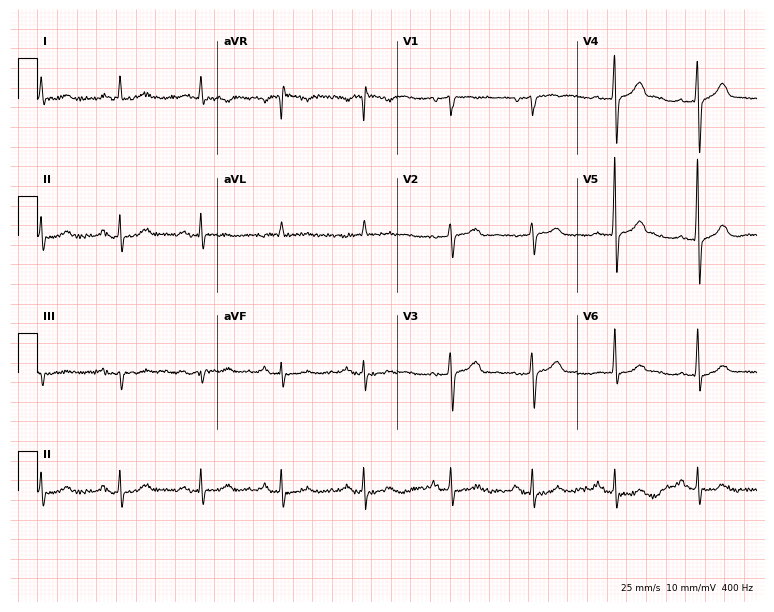
12-lead ECG from an 83-year-old man. Labelled as a normal ECG.